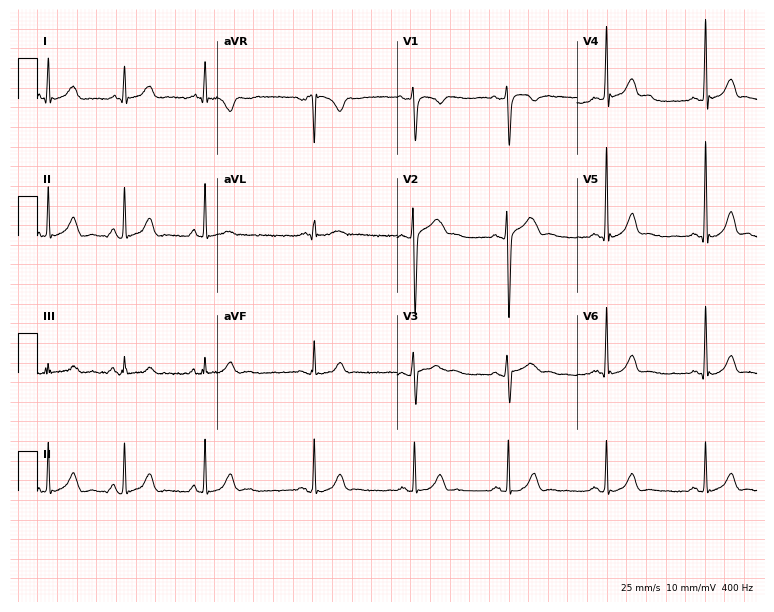
12-lead ECG from a male, 17 years old. Labelled as a normal ECG.